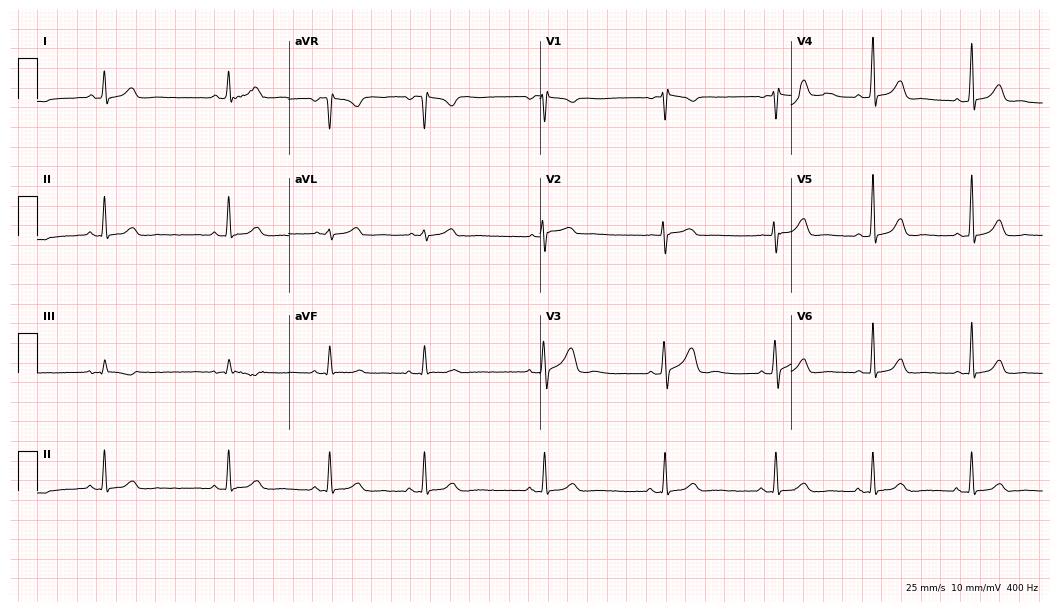
ECG — a 23-year-old female. Labelled as a normal ECG.